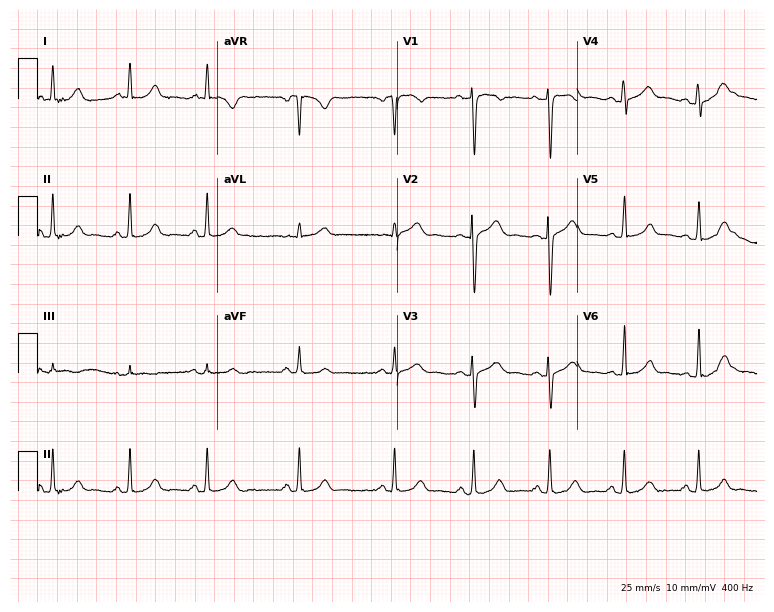
ECG — a woman, 30 years old. Labelled as a normal ECG.